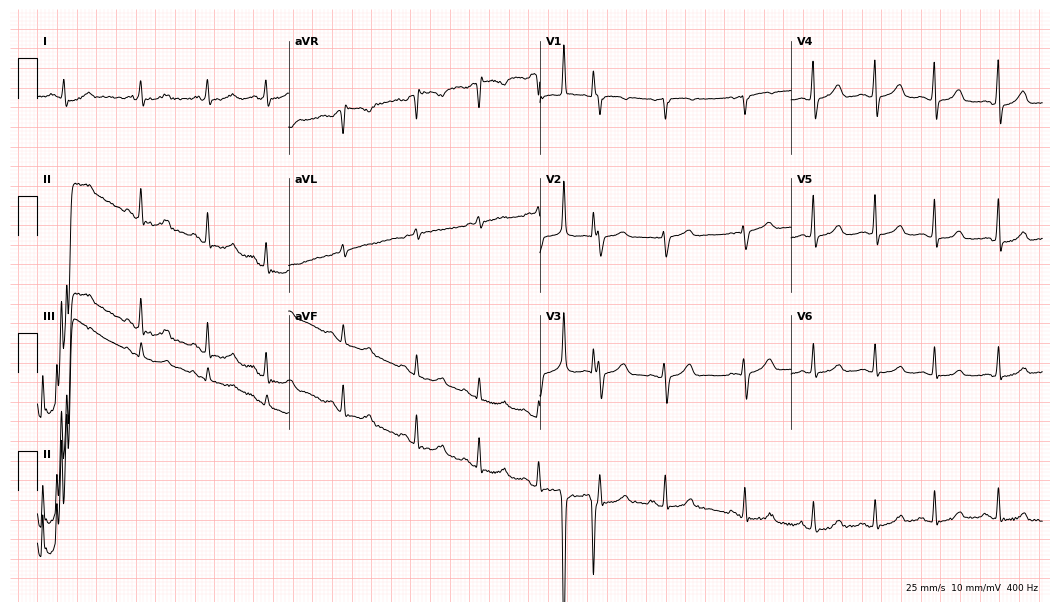
ECG (10.2-second recording at 400 Hz) — a female patient, 81 years old. Screened for six findings — first-degree AV block, right bundle branch block, left bundle branch block, sinus bradycardia, atrial fibrillation, sinus tachycardia — none is recorded.